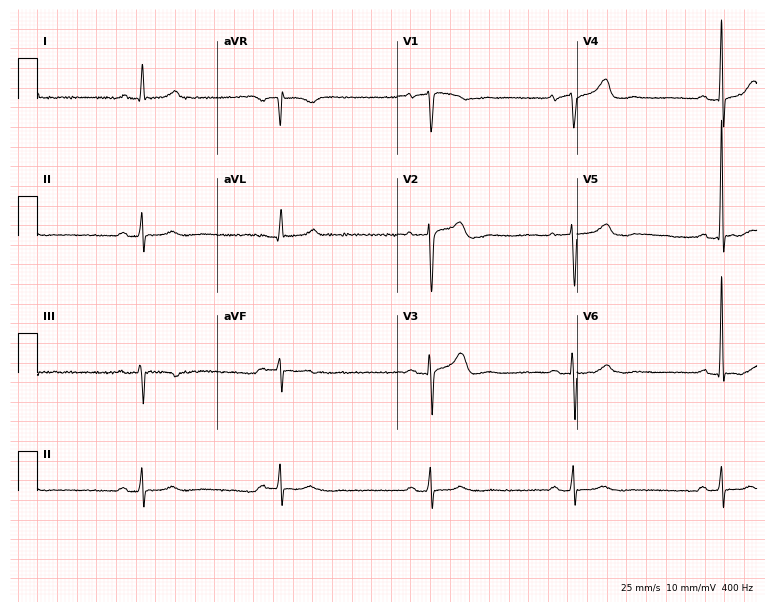
Standard 12-lead ECG recorded from a 75-year-old woman (7.3-second recording at 400 Hz). The tracing shows sinus bradycardia (a sinus rate of 50 beats per minute or less).